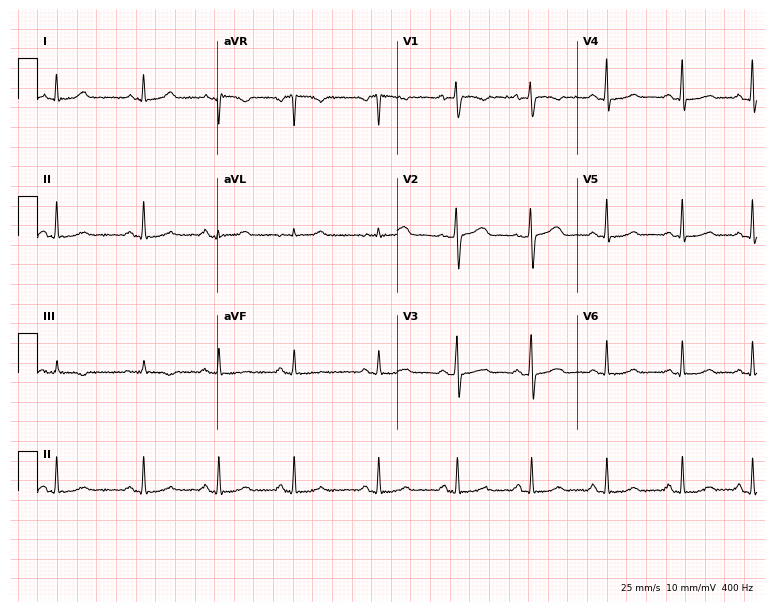
ECG — a woman, 31 years old. Labelled as a normal ECG.